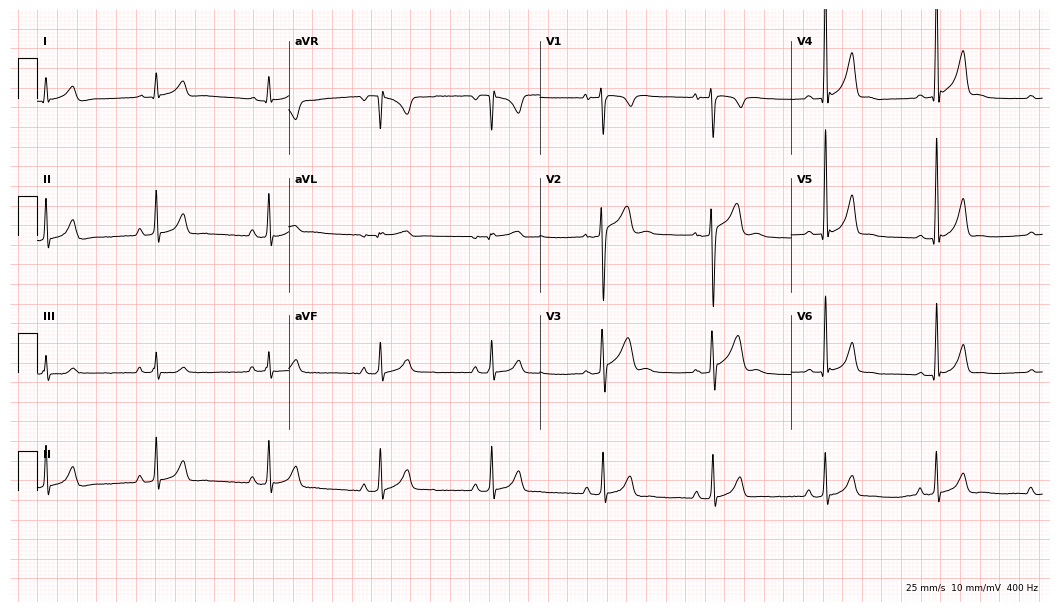
ECG (10.2-second recording at 400 Hz) — a 21-year-old male patient. Labelled as a normal ECG.